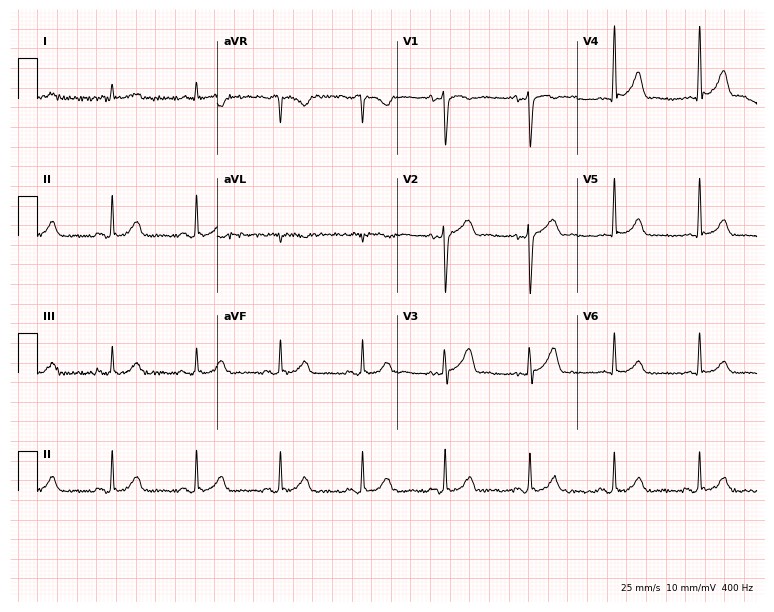
Standard 12-lead ECG recorded from a 65-year-old man (7.3-second recording at 400 Hz). Read as a normal ECG.